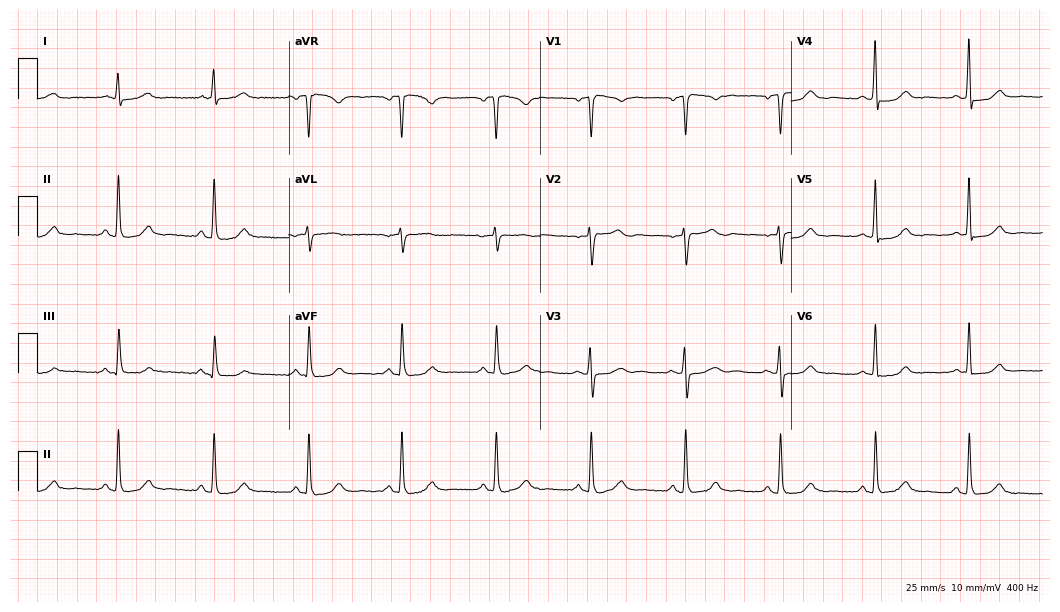
Electrocardiogram (10.2-second recording at 400 Hz), a female, 47 years old. Overall reading on record: normal ECG.